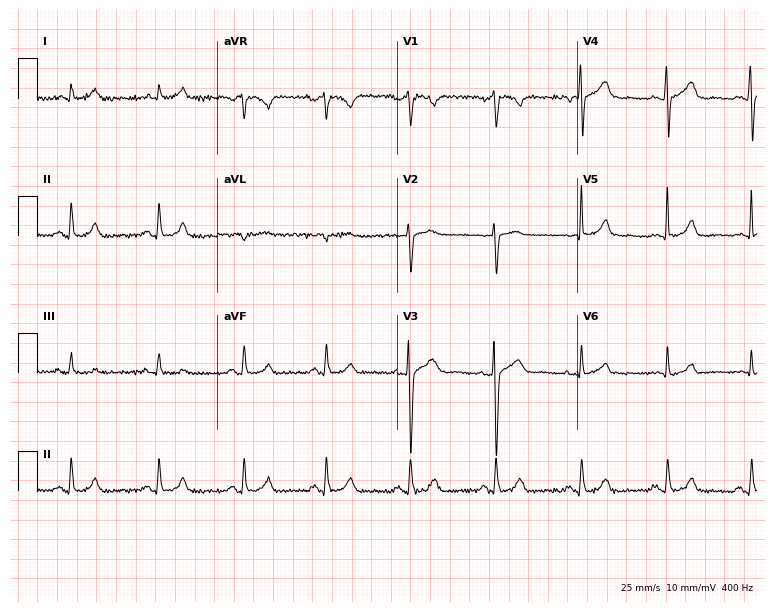
Standard 12-lead ECG recorded from a woman, 52 years old. None of these six findings is recorded: first-degree AV block, right bundle branch block, left bundle branch block, sinus bradycardia, atrial fibrillation, sinus tachycardia.